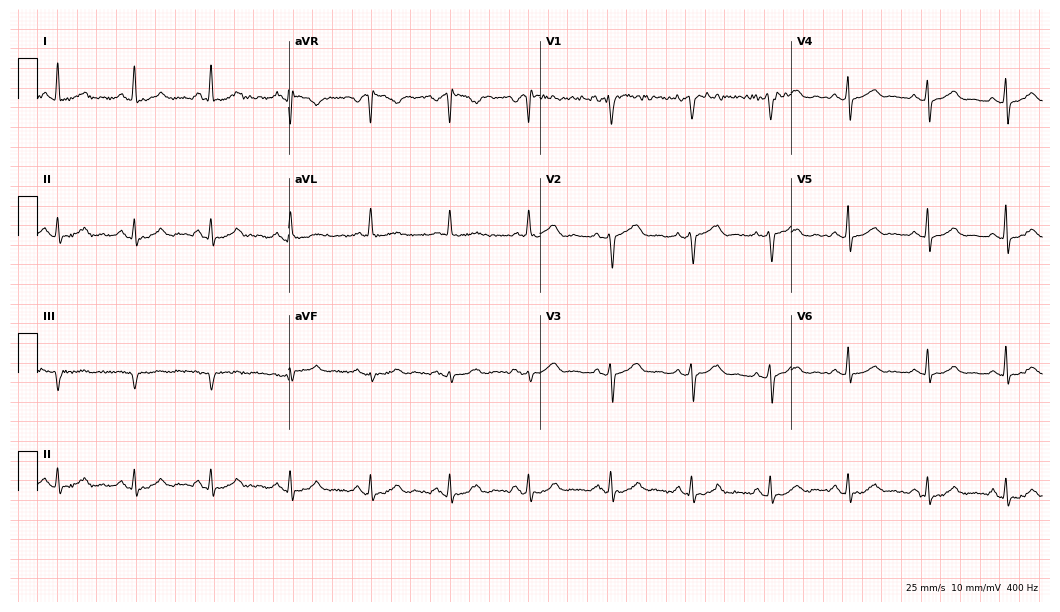
12-lead ECG from a 60-year-old female patient. No first-degree AV block, right bundle branch block (RBBB), left bundle branch block (LBBB), sinus bradycardia, atrial fibrillation (AF) or sinus tachycardia recorded for this tracing. Only these six findings were labelled.